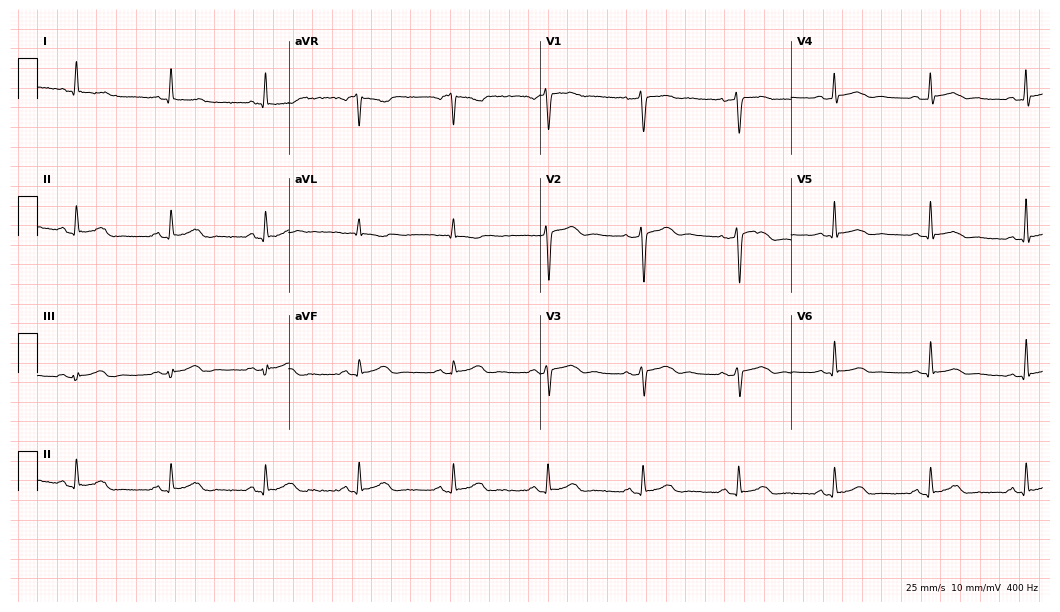
Electrocardiogram (10.2-second recording at 400 Hz), a 55-year-old female patient. Overall reading on record: normal ECG.